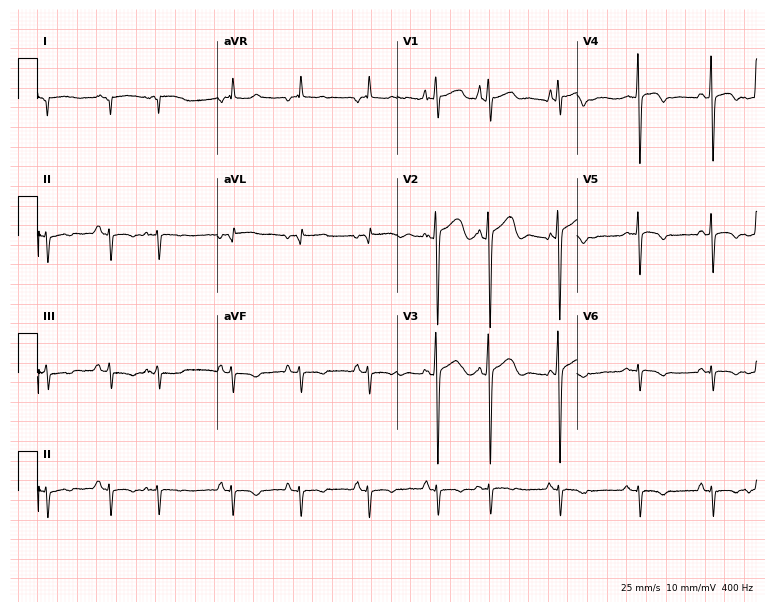
12-lead ECG from a 20-year-old man. Screened for six findings — first-degree AV block, right bundle branch block, left bundle branch block, sinus bradycardia, atrial fibrillation, sinus tachycardia — none is recorded.